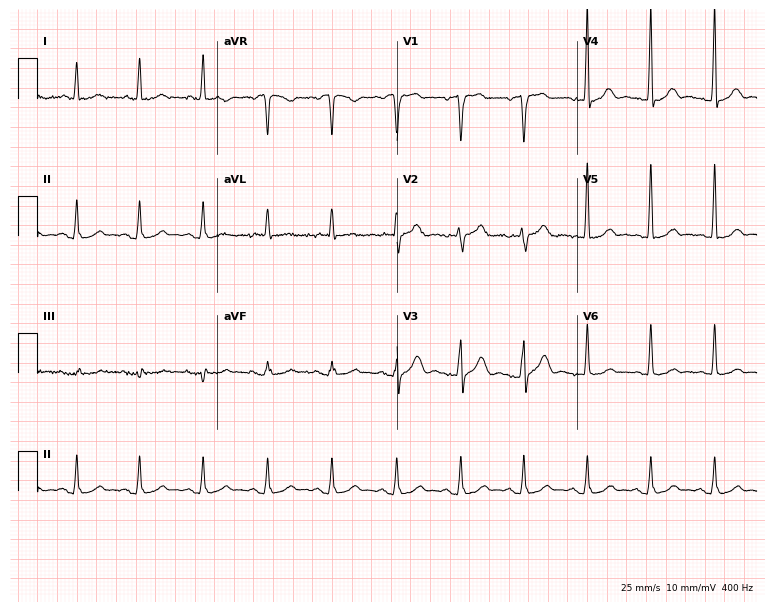
Resting 12-lead electrocardiogram (7.3-second recording at 400 Hz). Patient: a female, 48 years old. Read as a normal ECG.